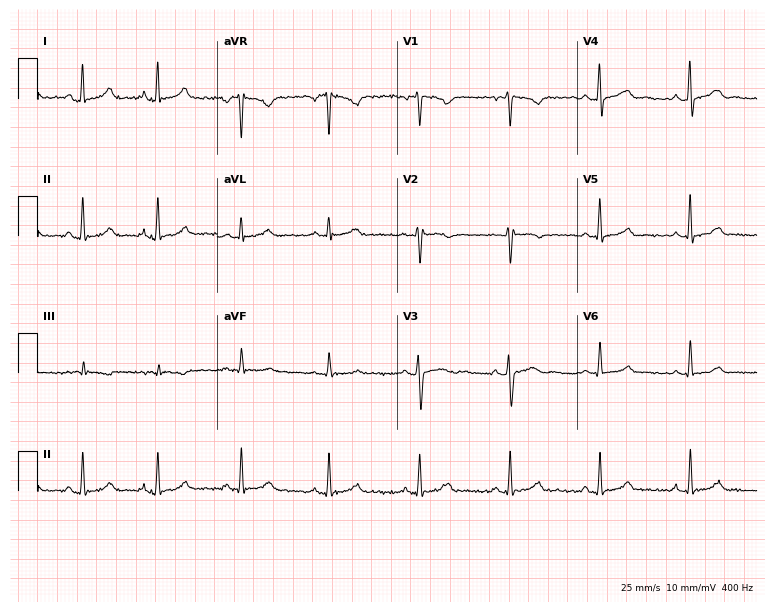
Resting 12-lead electrocardiogram (7.3-second recording at 400 Hz). Patient: a female, 40 years old. Read as a normal ECG.